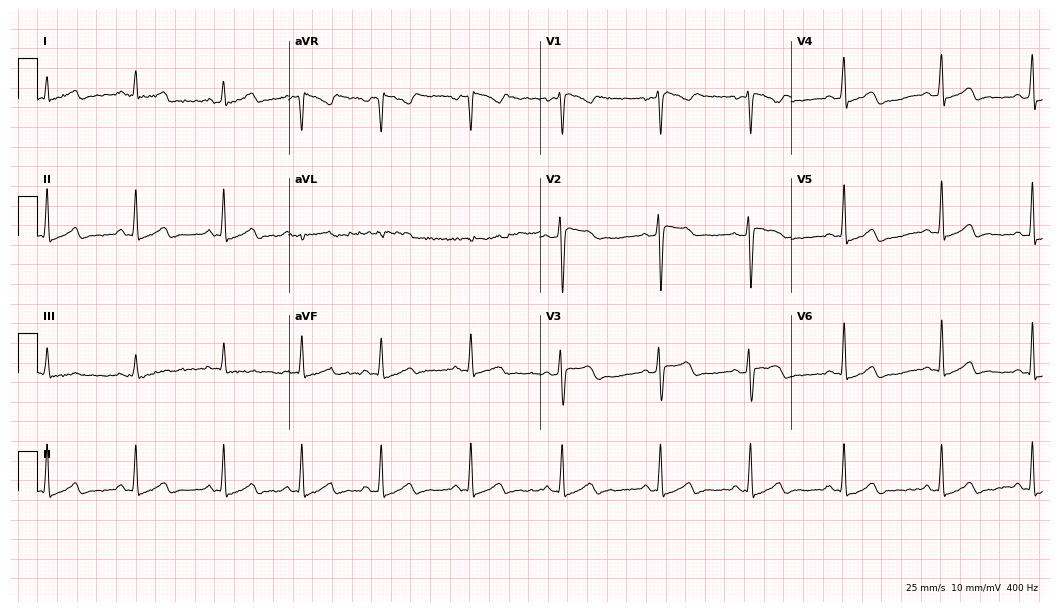
12-lead ECG (10.2-second recording at 400 Hz) from a 33-year-old woman. Screened for six findings — first-degree AV block, right bundle branch block, left bundle branch block, sinus bradycardia, atrial fibrillation, sinus tachycardia — none is recorded. Only these six findings were labelled.